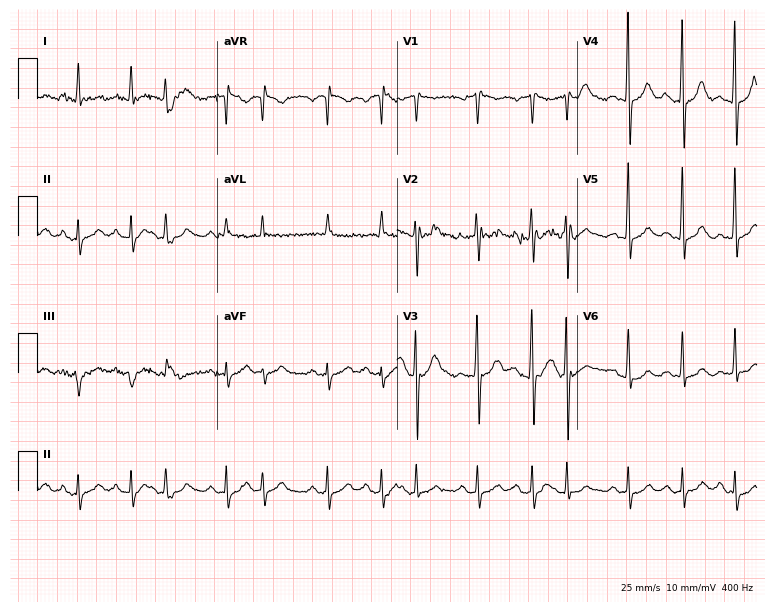
Standard 12-lead ECG recorded from a 65-year-old man (7.3-second recording at 400 Hz). The tracing shows sinus tachycardia (a sinus rate of 100 beats per minute or more).